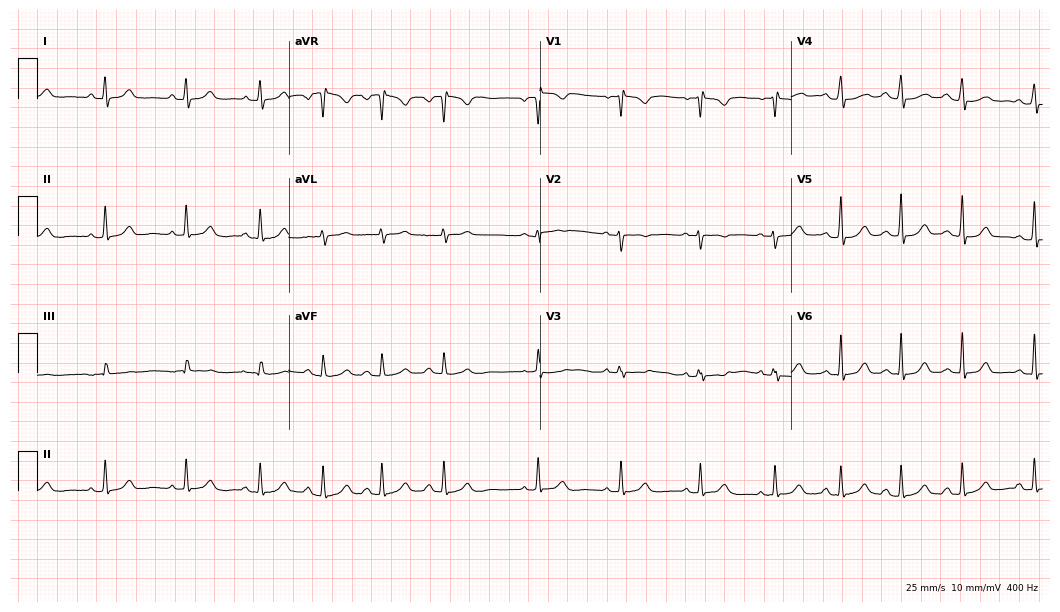
Standard 12-lead ECG recorded from a 17-year-old woman. None of these six findings is recorded: first-degree AV block, right bundle branch block (RBBB), left bundle branch block (LBBB), sinus bradycardia, atrial fibrillation (AF), sinus tachycardia.